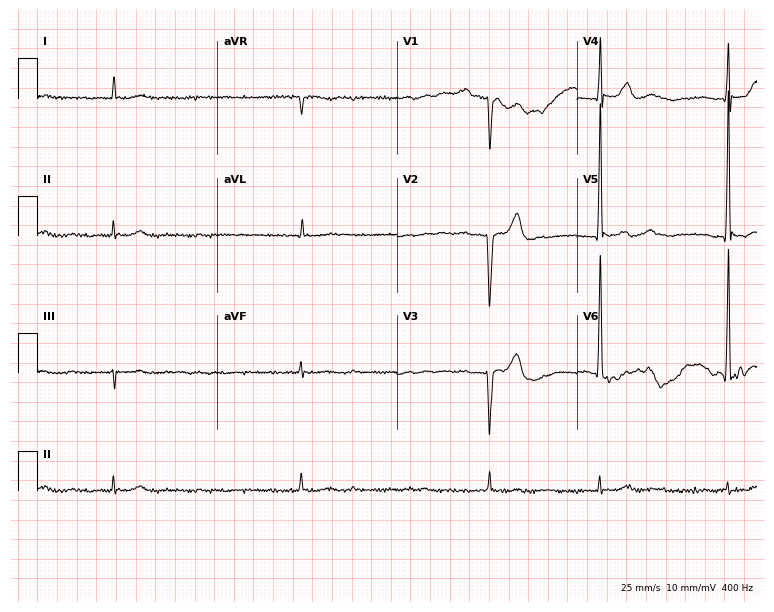
12-lead ECG (7.3-second recording at 400 Hz) from an 83-year-old man. Findings include atrial fibrillation.